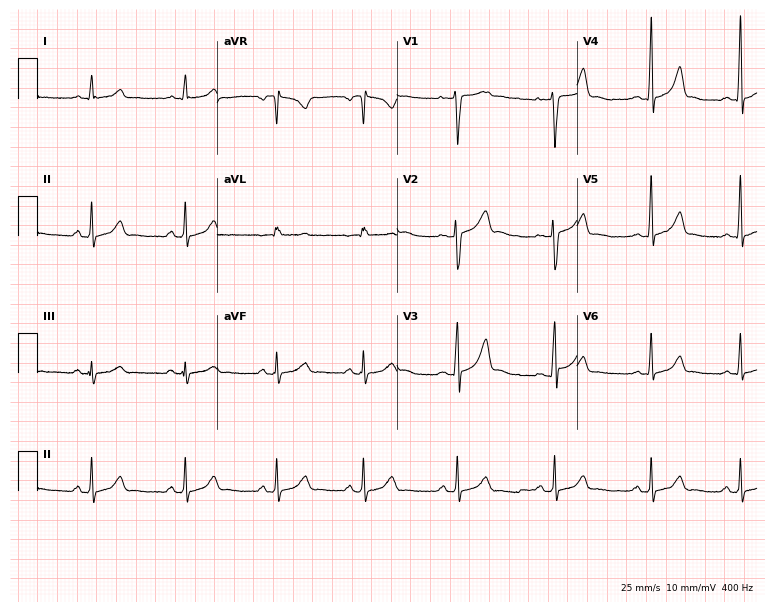
Resting 12-lead electrocardiogram (7.3-second recording at 400 Hz). Patient: a 28-year-old female. Read as a normal ECG.